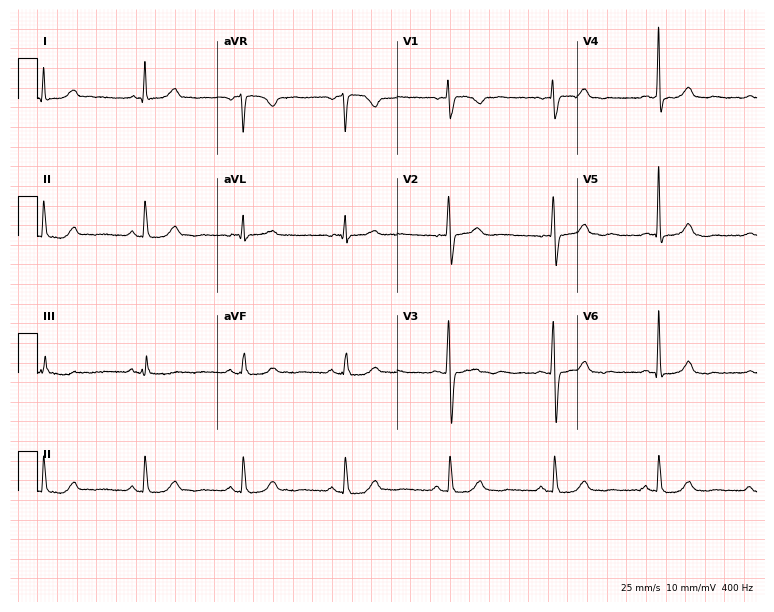
12-lead ECG from a 61-year-old woman. Recorded interpretation: within normal limits.